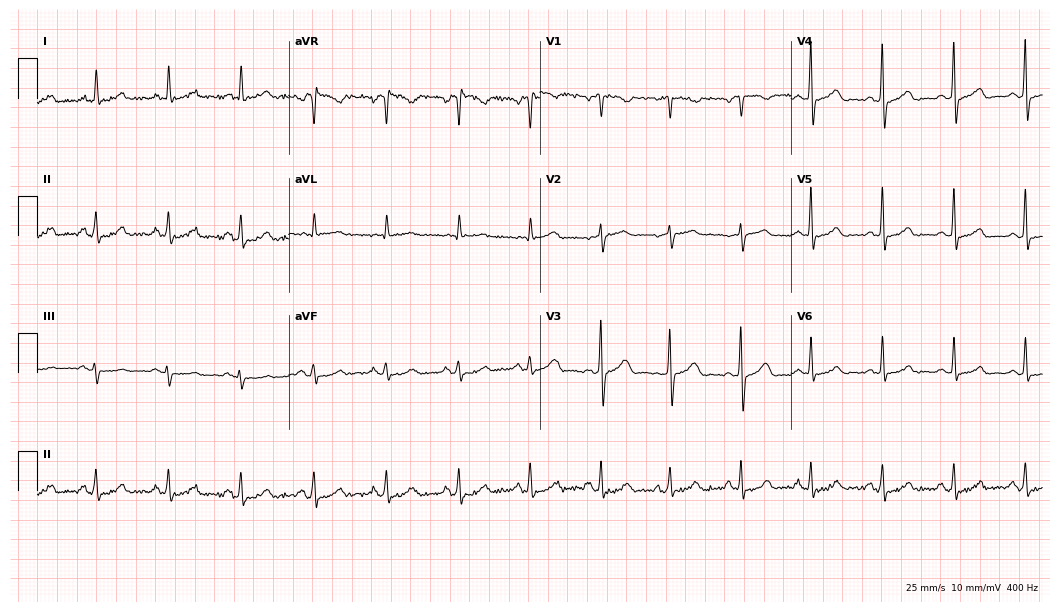
Standard 12-lead ECG recorded from a male, 77 years old (10.2-second recording at 400 Hz). Read as a normal ECG.